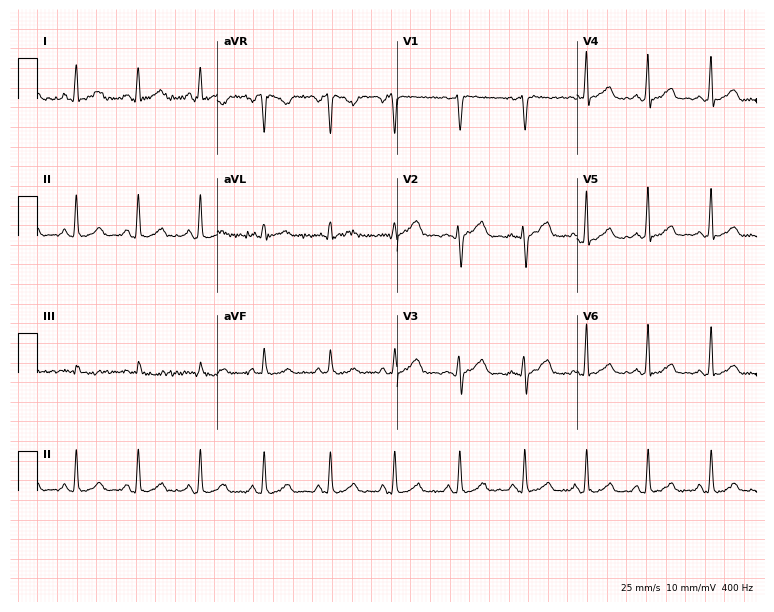
ECG — a 35-year-old female patient. Screened for six findings — first-degree AV block, right bundle branch block, left bundle branch block, sinus bradycardia, atrial fibrillation, sinus tachycardia — none is recorded.